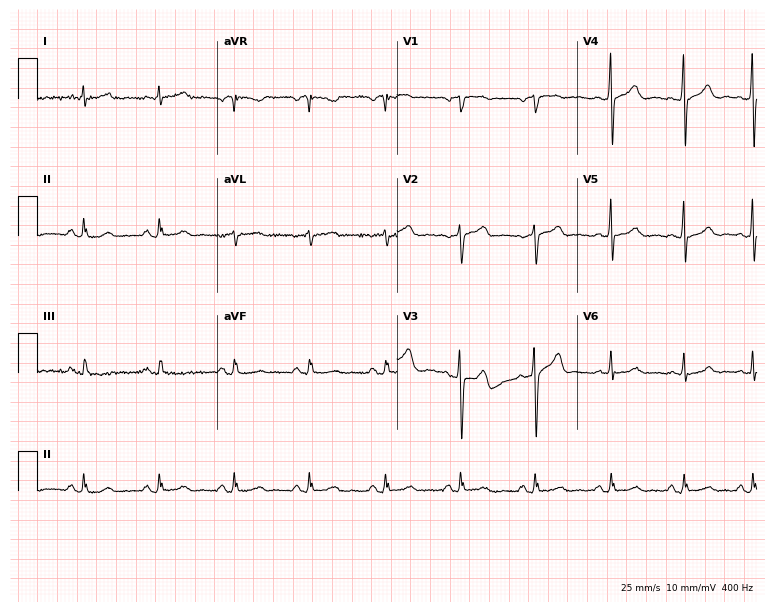
Electrocardiogram (7.3-second recording at 400 Hz), a 65-year-old male patient. Overall reading on record: normal ECG.